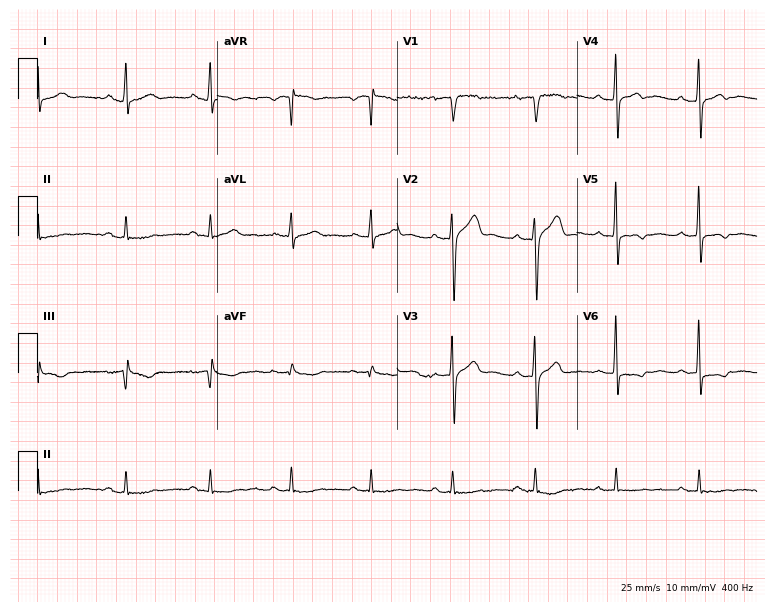
Electrocardiogram, a male patient, 30 years old. Of the six screened findings (first-degree AV block, right bundle branch block, left bundle branch block, sinus bradycardia, atrial fibrillation, sinus tachycardia), none is recorded. Other findings, if any, are not listed.